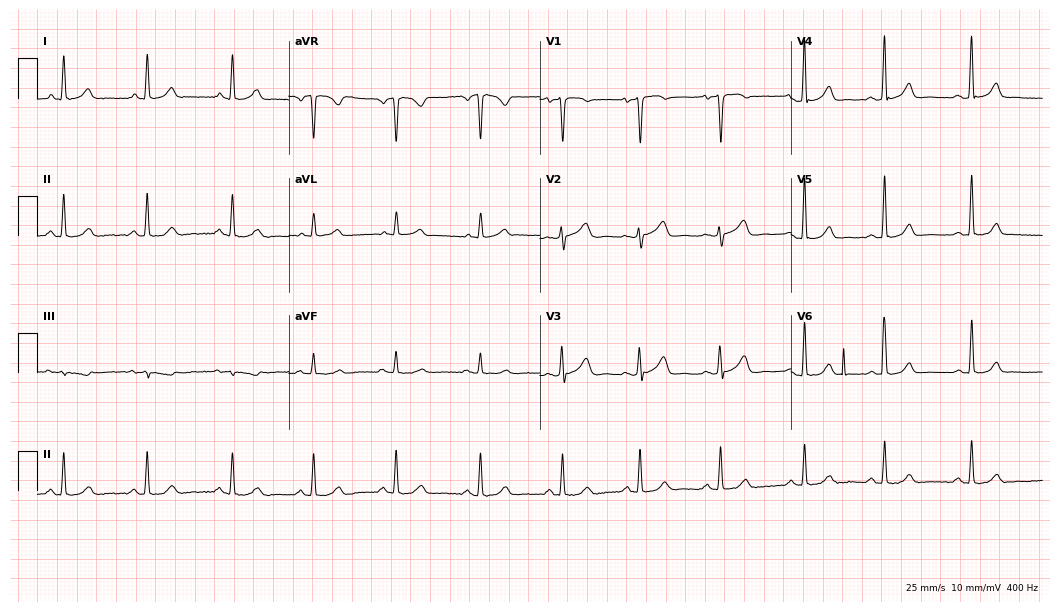
12-lead ECG from a male patient, 41 years old. Recorded interpretation: within normal limits.